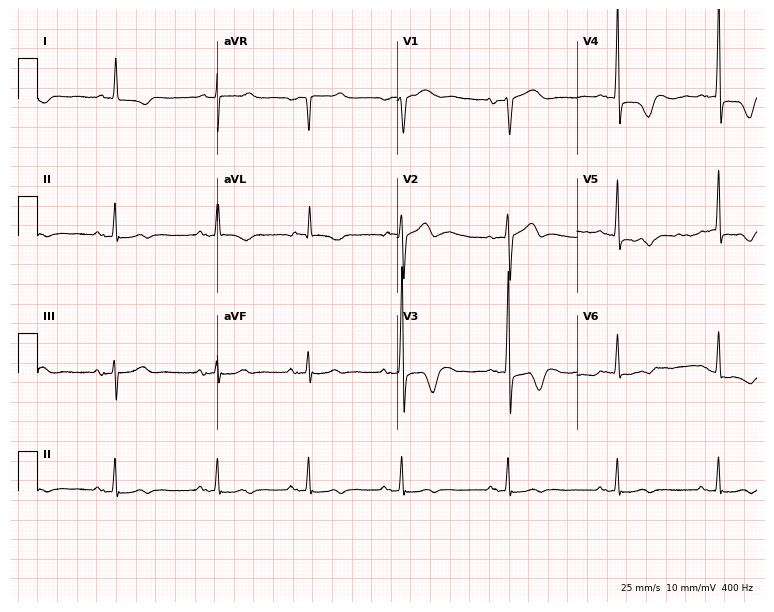
ECG (7.3-second recording at 400 Hz) — an 85-year-old female patient. Screened for six findings — first-degree AV block, right bundle branch block, left bundle branch block, sinus bradycardia, atrial fibrillation, sinus tachycardia — none is recorded.